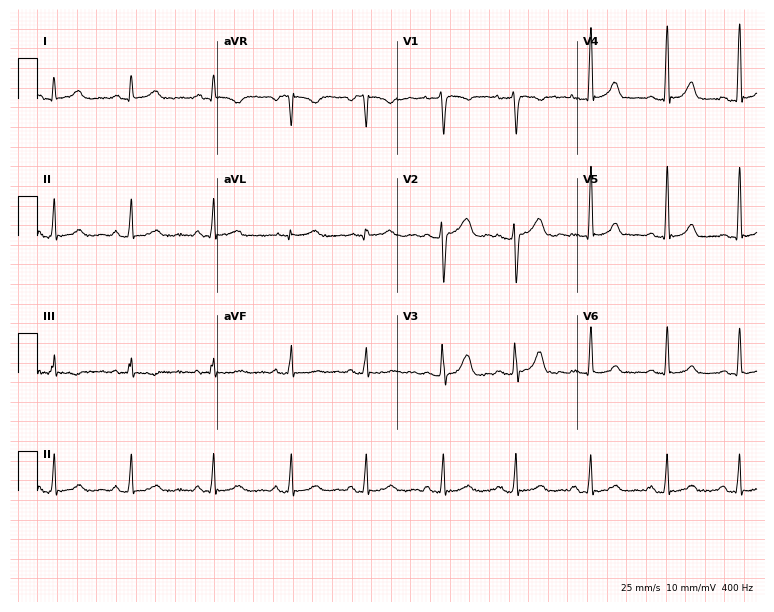
12-lead ECG from a 25-year-old woman. Screened for six findings — first-degree AV block, right bundle branch block, left bundle branch block, sinus bradycardia, atrial fibrillation, sinus tachycardia — none is recorded. Findings outside these six are not listed.